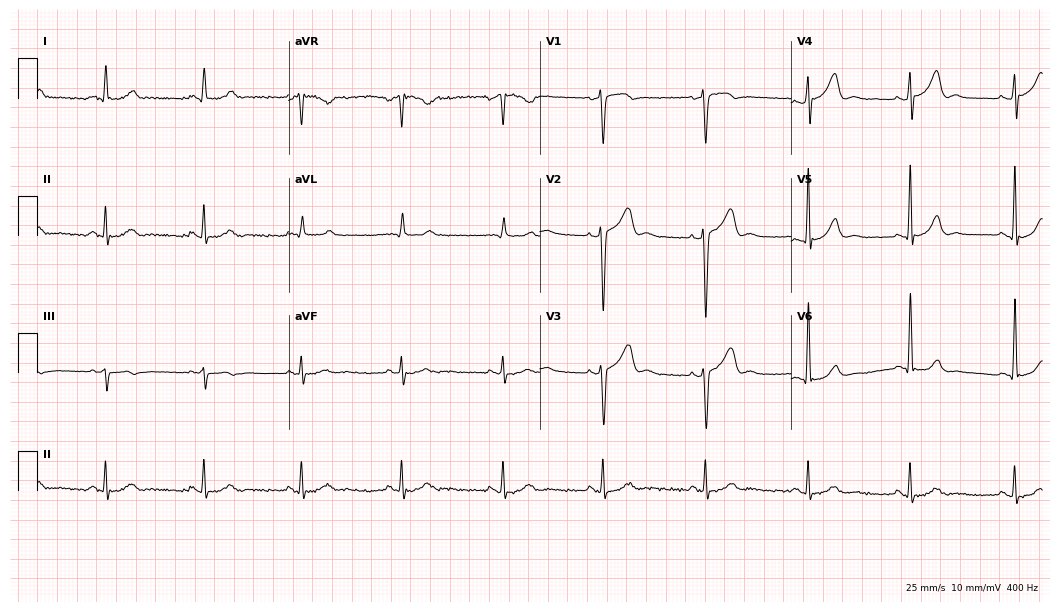
Electrocardiogram (10.2-second recording at 400 Hz), a man, 45 years old. Overall reading on record: normal ECG.